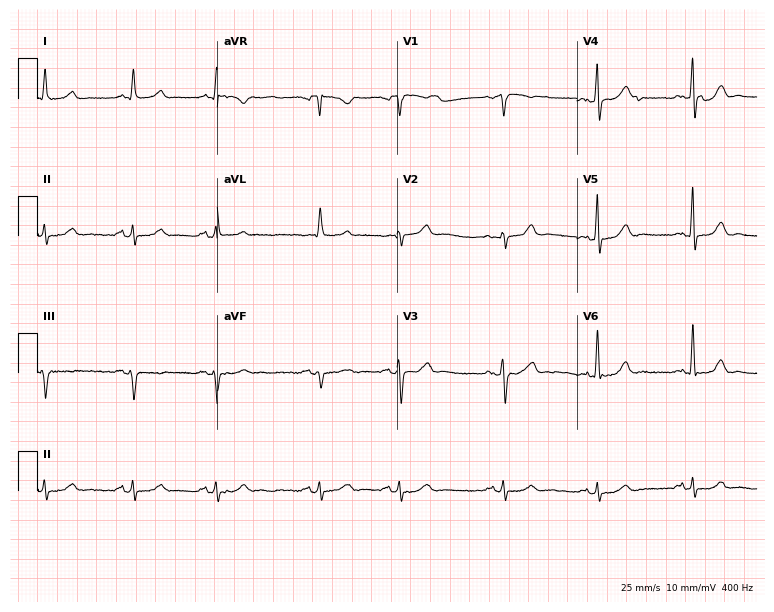
Resting 12-lead electrocardiogram (7.3-second recording at 400 Hz). Patient: a male, 68 years old. Read as a normal ECG.